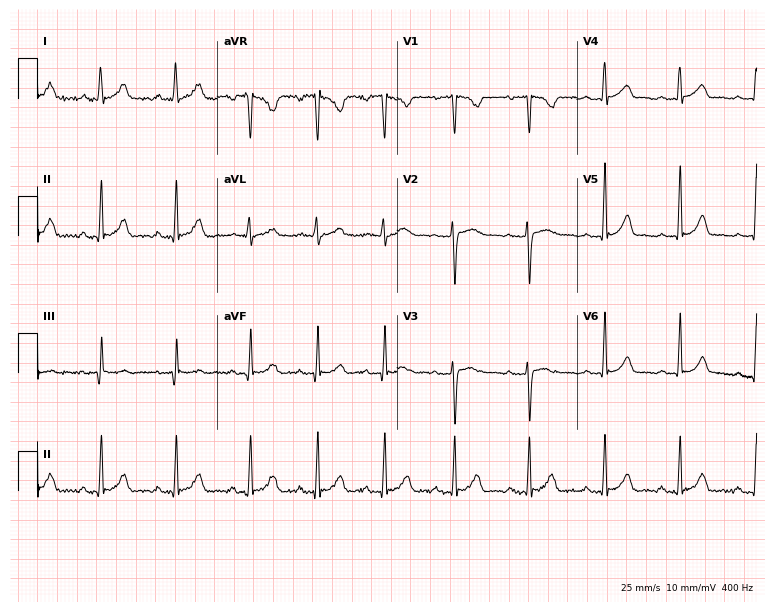
12-lead ECG (7.3-second recording at 400 Hz) from a female patient, 34 years old. Labelled as a normal ECG.